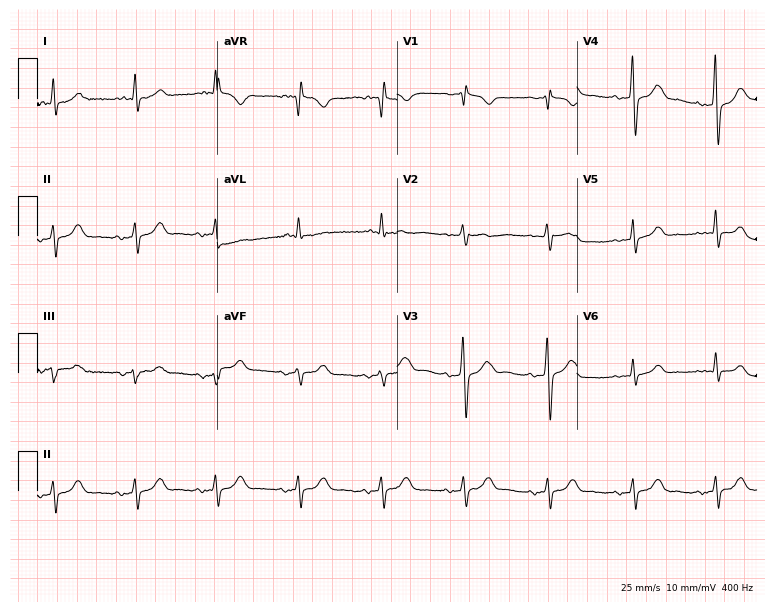
12-lead ECG (7.3-second recording at 400 Hz) from a man, 78 years old. Screened for six findings — first-degree AV block, right bundle branch block, left bundle branch block, sinus bradycardia, atrial fibrillation, sinus tachycardia — none is recorded. Only these six findings were labelled.